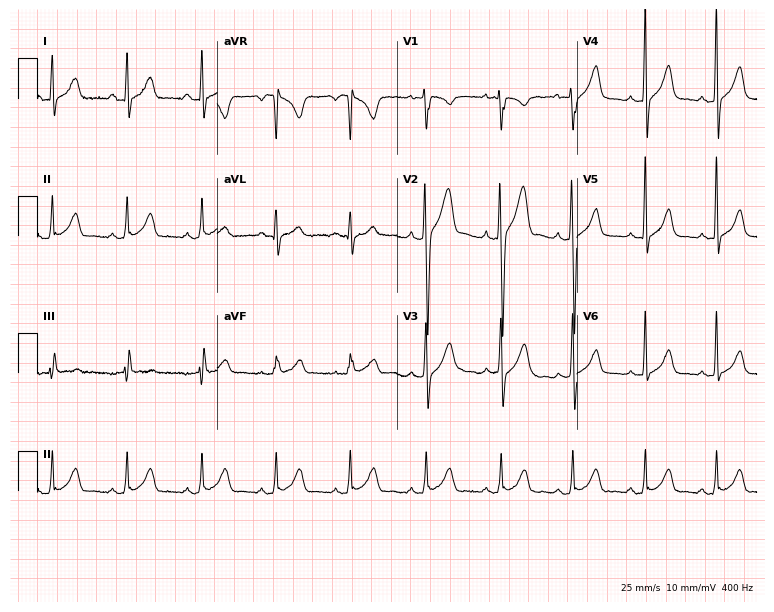
ECG (7.3-second recording at 400 Hz) — a 28-year-old man. Labelled as a normal ECG.